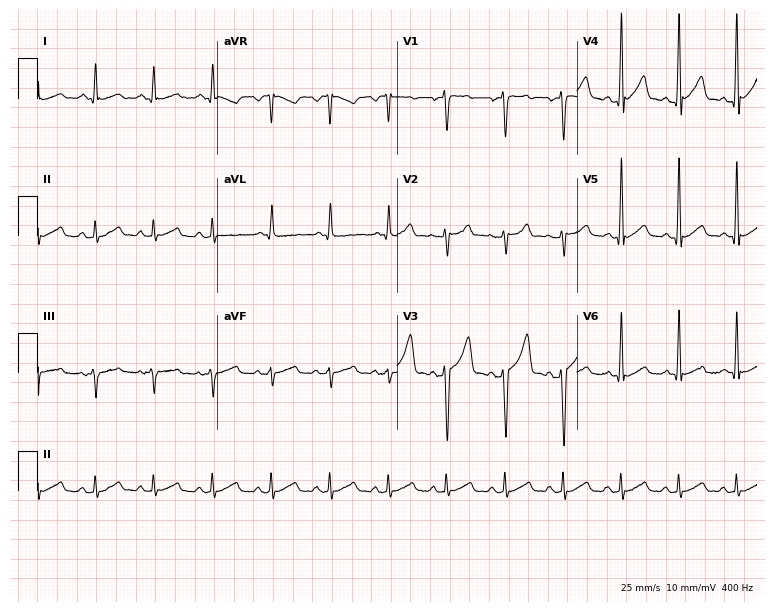
12-lead ECG from a 37-year-old male. Shows sinus tachycardia (a sinus rate of 100 beats per minute or more).